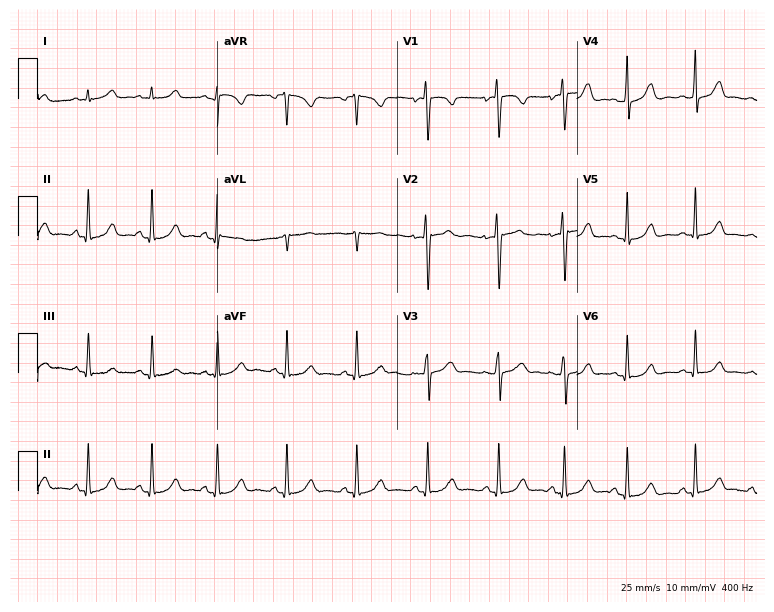
12-lead ECG from a 22-year-old female patient (7.3-second recording at 400 Hz). Recorded interpretation: within normal limits.